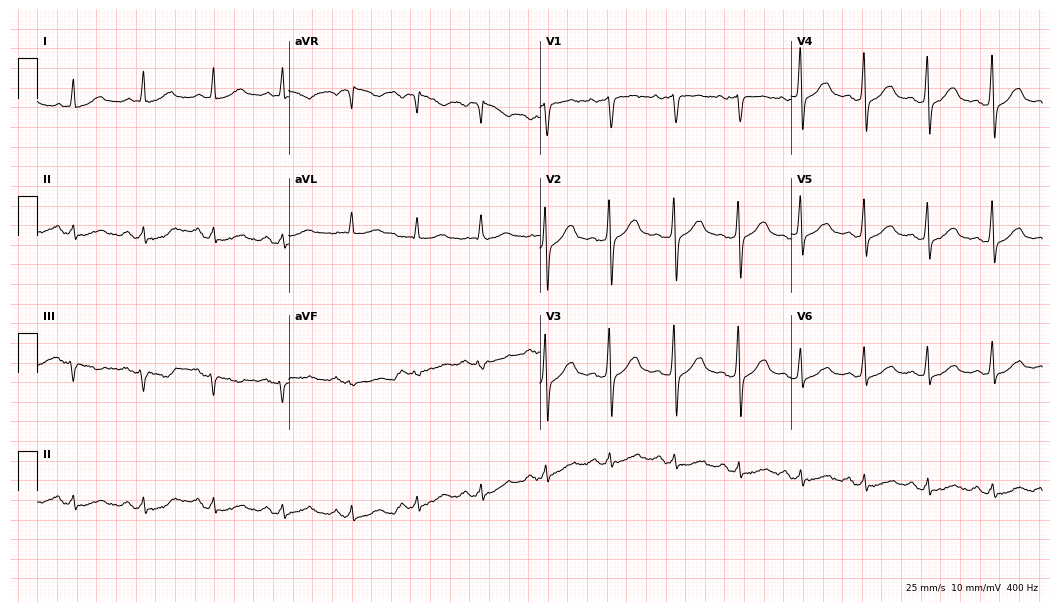
12-lead ECG from a male, 54 years old. Screened for six findings — first-degree AV block, right bundle branch block, left bundle branch block, sinus bradycardia, atrial fibrillation, sinus tachycardia — none is recorded.